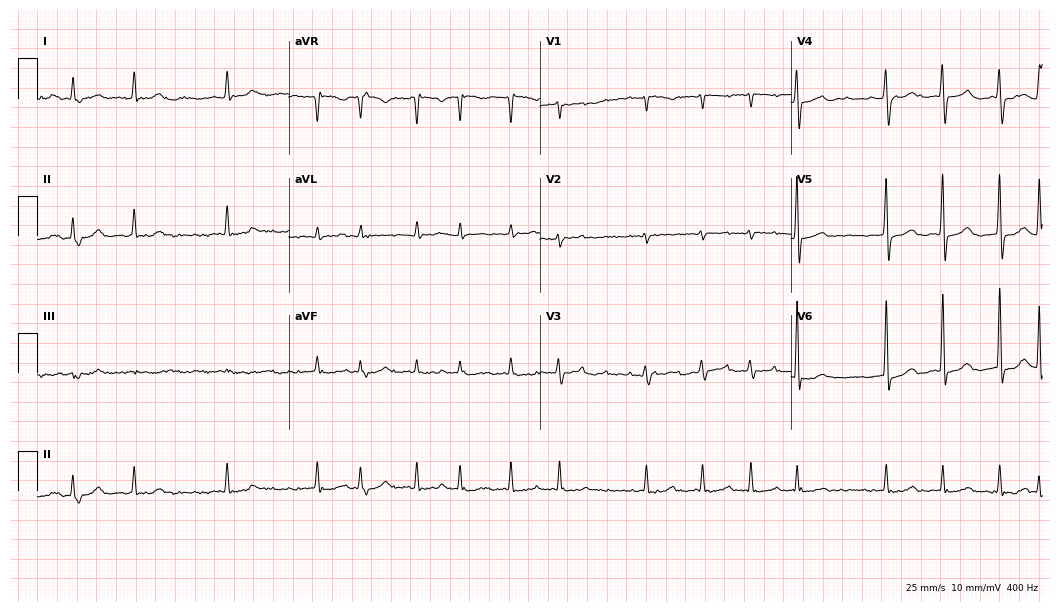
12-lead ECG from a woman, 82 years old. Findings include atrial fibrillation.